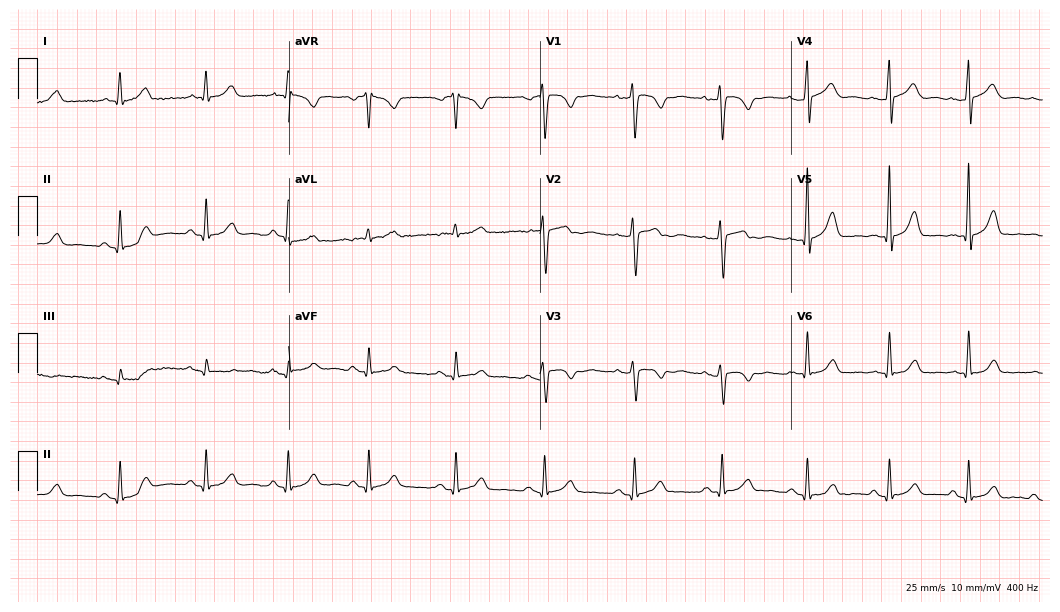
12-lead ECG from a male patient, 62 years old. Labelled as a normal ECG.